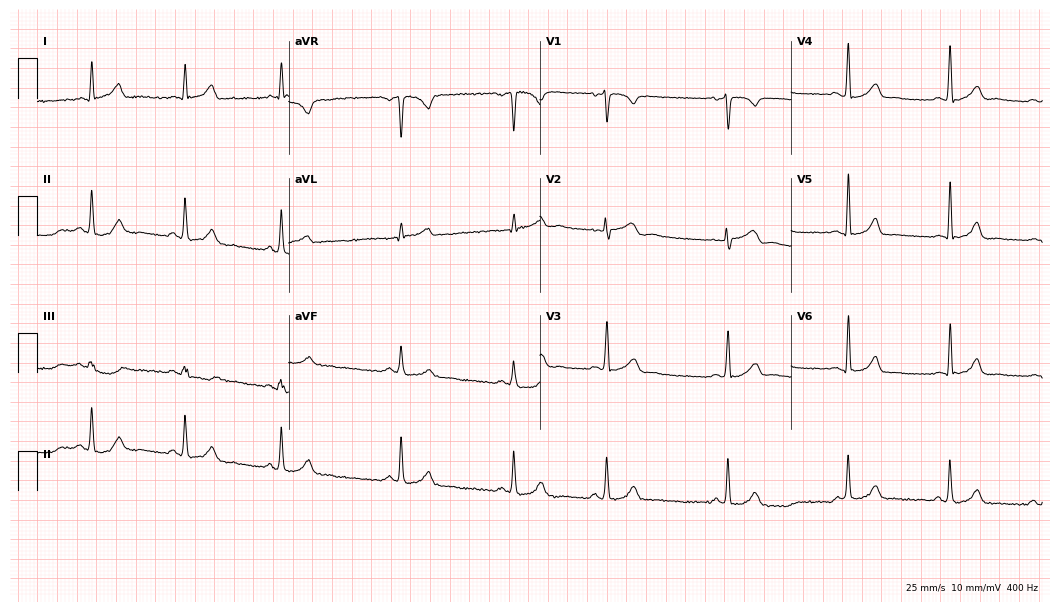
ECG — a woman, 26 years old. Screened for six findings — first-degree AV block, right bundle branch block, left bundle branch block, sinus bradycardia, atrial fibrillation, sinus tachycardia — none is recorded. Only these six findings were labelled.